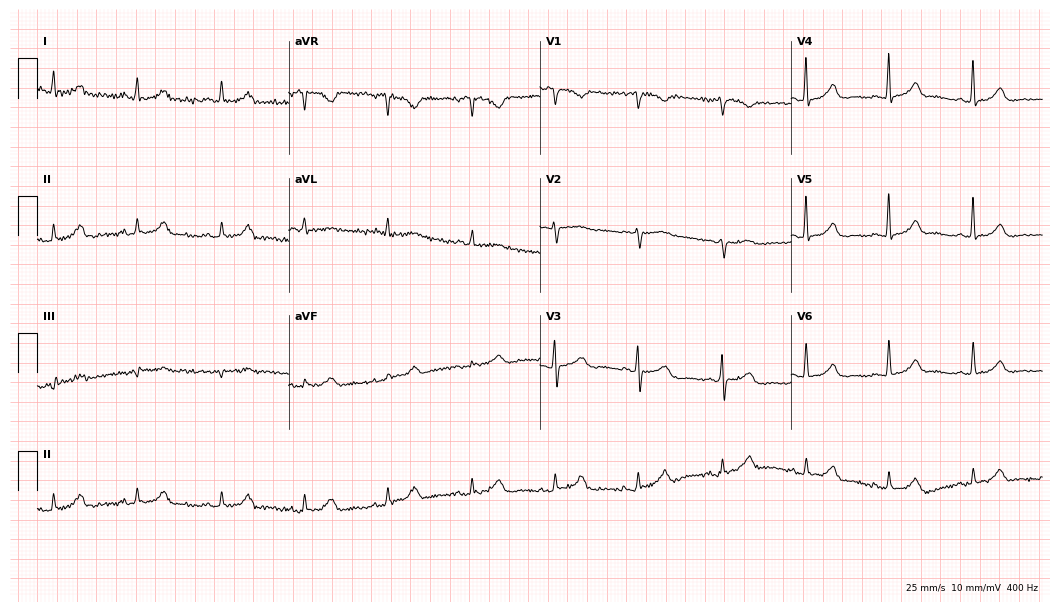
Resting 12-lead electrocardiogram (10.2-second recording at 400 Hz). Patient: a 64-year-old female. Read as a normal ECG.